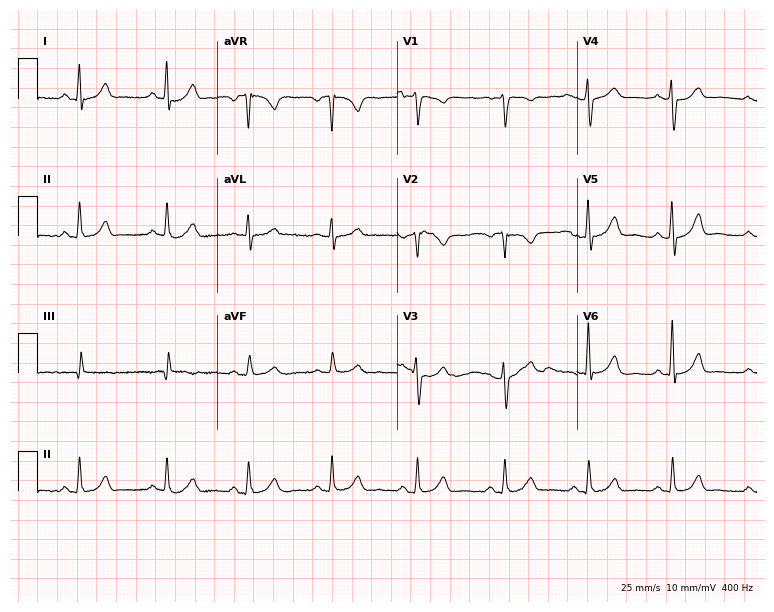
ECG (7.3-second recording at 400 Hz) — a 50-year-old female. Screened for six findings — first-degree AV block, right bundle branch block (RBBB), left bundle branch block (LBBB), sinus bradycardia, atrial fibrillation (AF), sinus tachycardia — none is recorded.